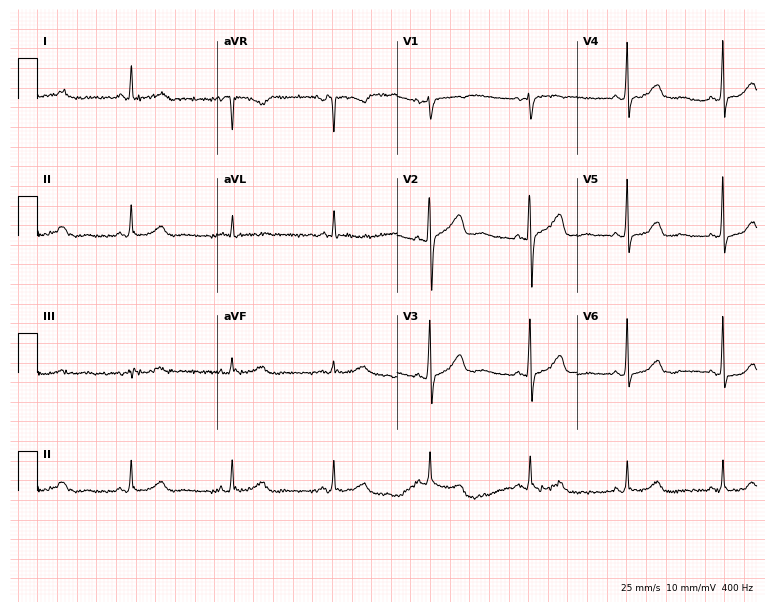
Standard 12-lead ECG recorded from a female, 56 years old (7.3-second recording at 400 Hz). None of these six findings is recorded: first-degree AV block, right bundle branch block (RBBB), left bundle branch block (LBBB), sinus bradycardia, atrial fibrillation (AF), sinus tachycardia.